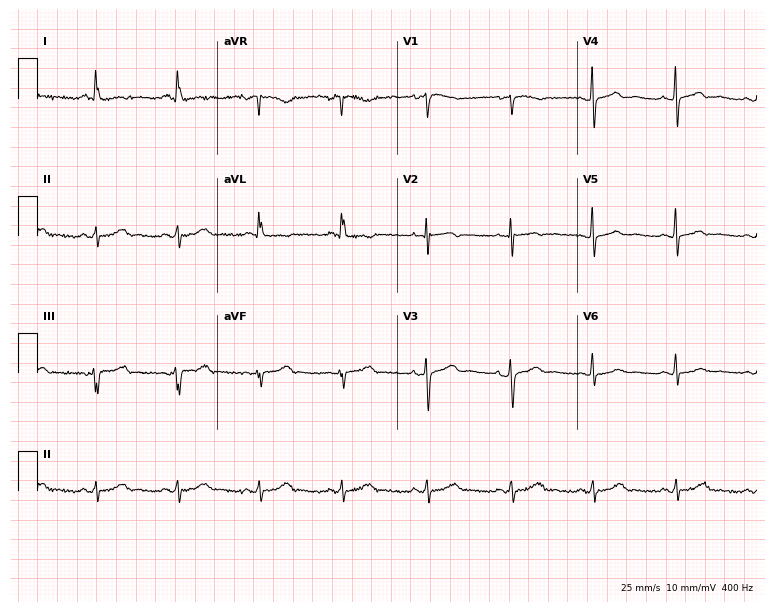
Standard 12-lead ECG recorded from a woman, 64 years old. Read as a normal ECG.